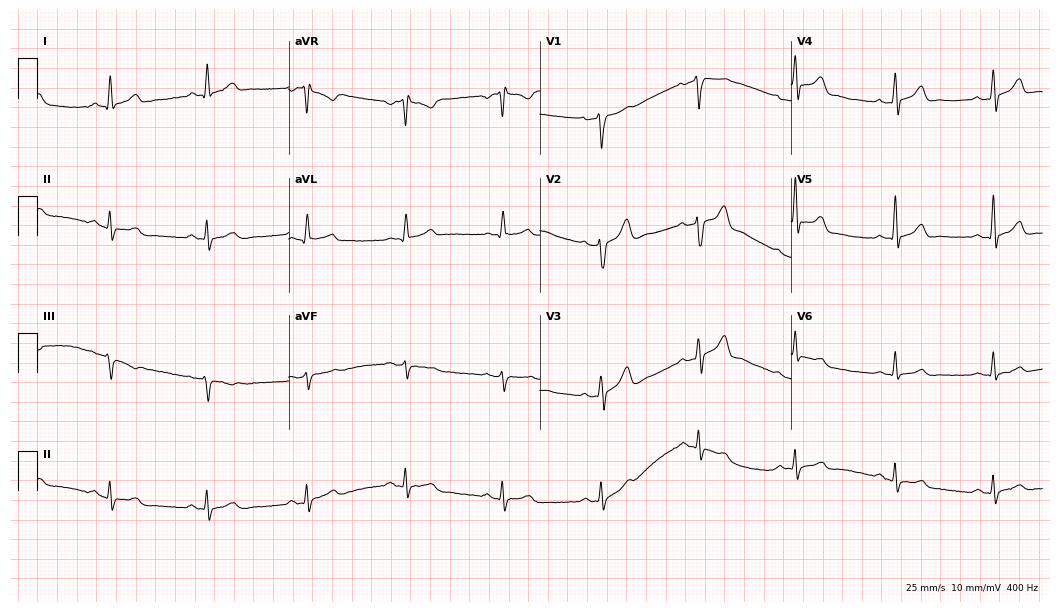
12-lead ECG (10.2-second recording at 400 Hz) from a male patient, 34 years old. Labelled as a normal ECG.